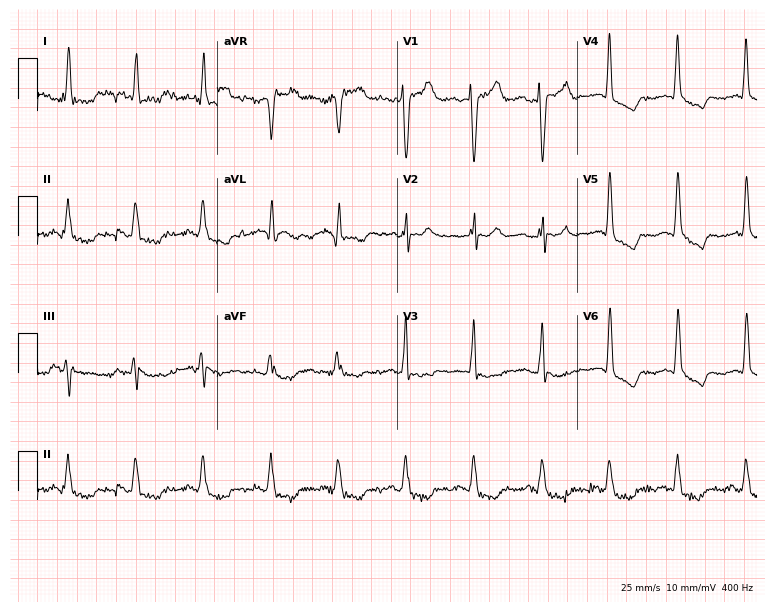
Electrocardiogram, a female, 74 years old. Of the six screened findings (first-degree AV block, right bundle branch block, left bundle branch block, sinus bradycardia, atrial fibrillation, sinus tachycardia), none is recorded. Findings outside these six are not listed.